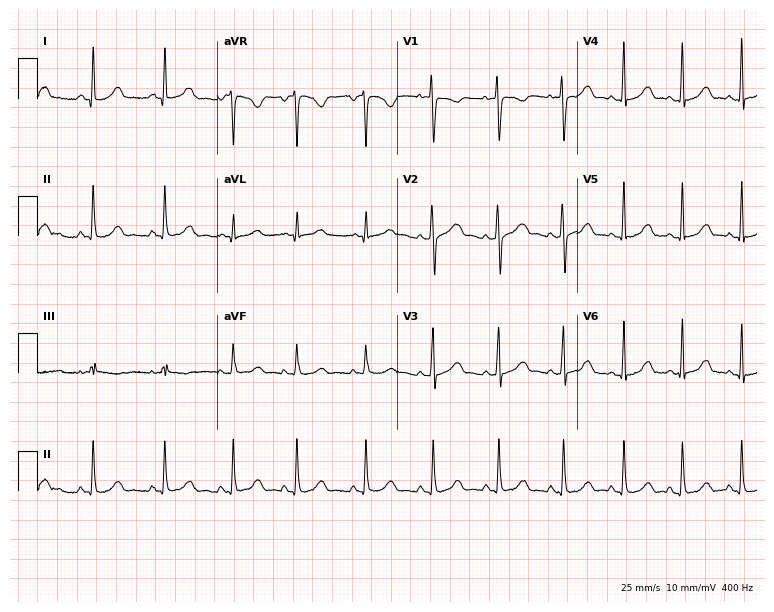
12-lead ECG from a 26-year-old woman. Screened for six findings — first-degree AV block, right bundle branch block, left bundle branch block, sinus bradycardia, atrial fibrillation, sinus tachycardia — none is recorded.